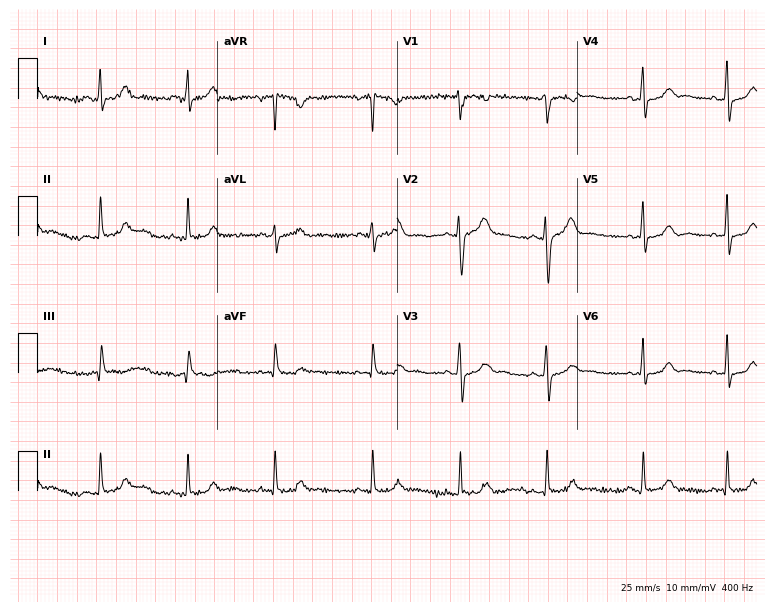
ECG (7.3-second recording at 400 Hz) — a 28-year-old woman. Screened for six findings — first-degree AV block, right bundle branch block, left bundle branch block, sinus bradycardia, atrial fibrillation, sinus tachycardia — none is recorded. Only these six findings were labelled.